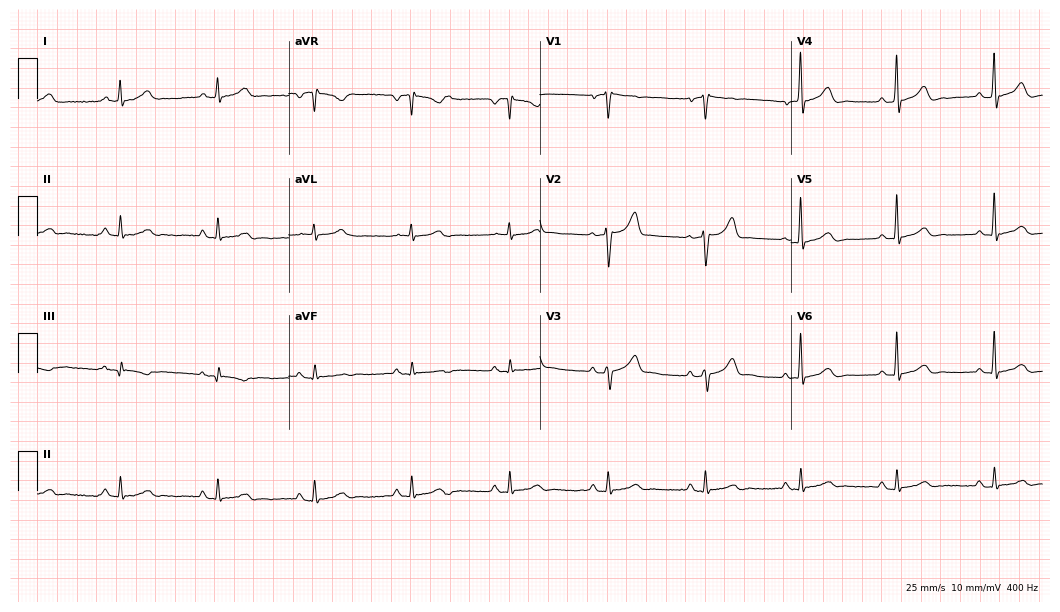
Resting 12-lead electrocardiogram (10.2-second recording at 400 Hz). Patient: a male, 69 years old. None of these six findings is recorded: first-degree AV block, right bundle branch block, left bundle branch block, sinus bradycardia, atrial fibrillation, sinus tachycardia. Findings outside these six are not listed.